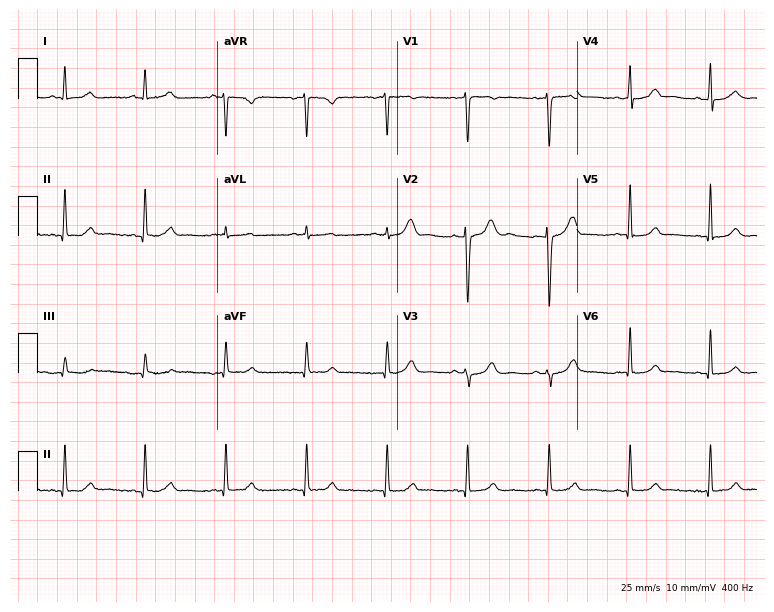
Resting 12-lead electrocardiogram (7.3-second recording at 400 Hz). Patient: a 42-year-old female. Read as a normal ECG.